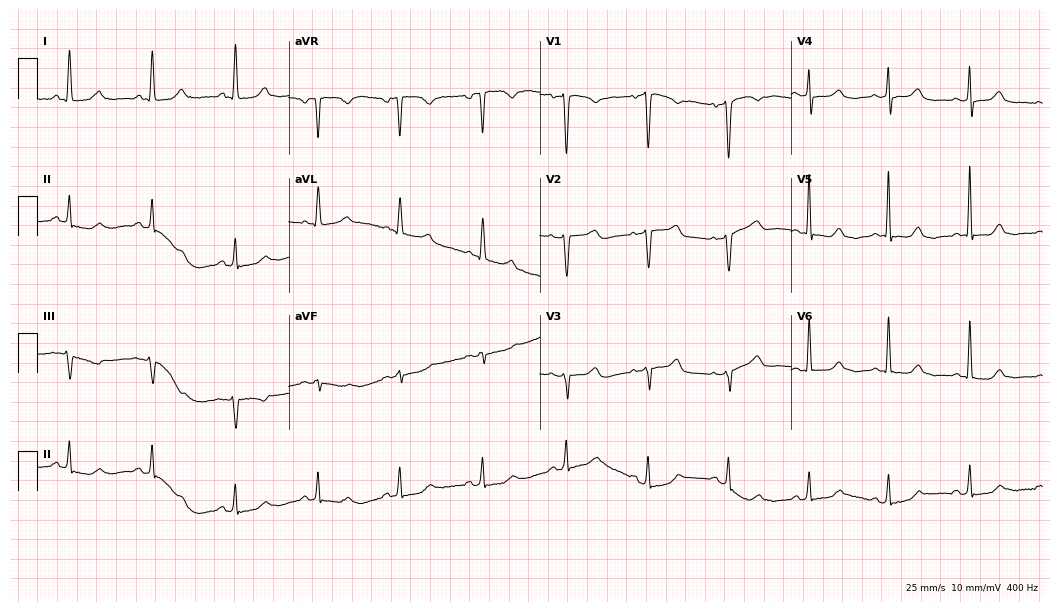
ECG (10.2-second recording at 400 Hz) — a 58-year-old female. Labelled as a normal ECG.